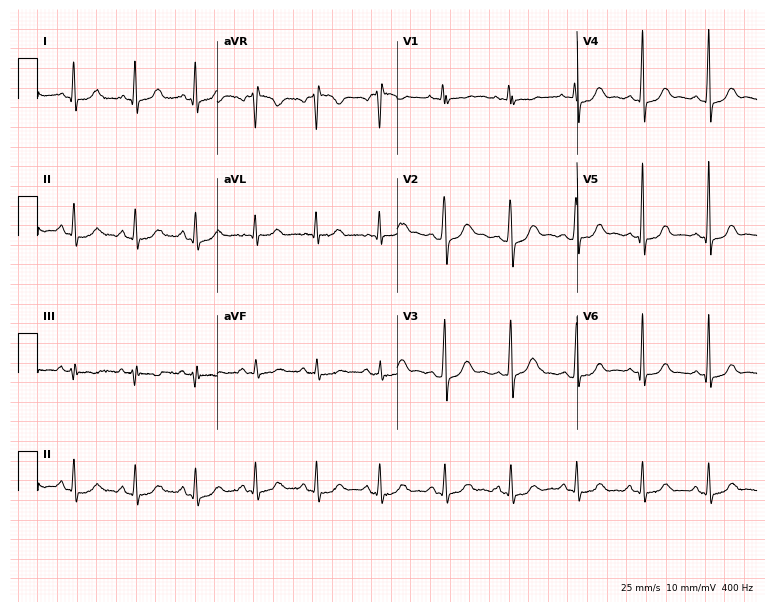
Resting 12-lead electrocardiogram (7.3-second recording at 400 Hz). Patient: a female, 37 years old. Read as a normal ECG.